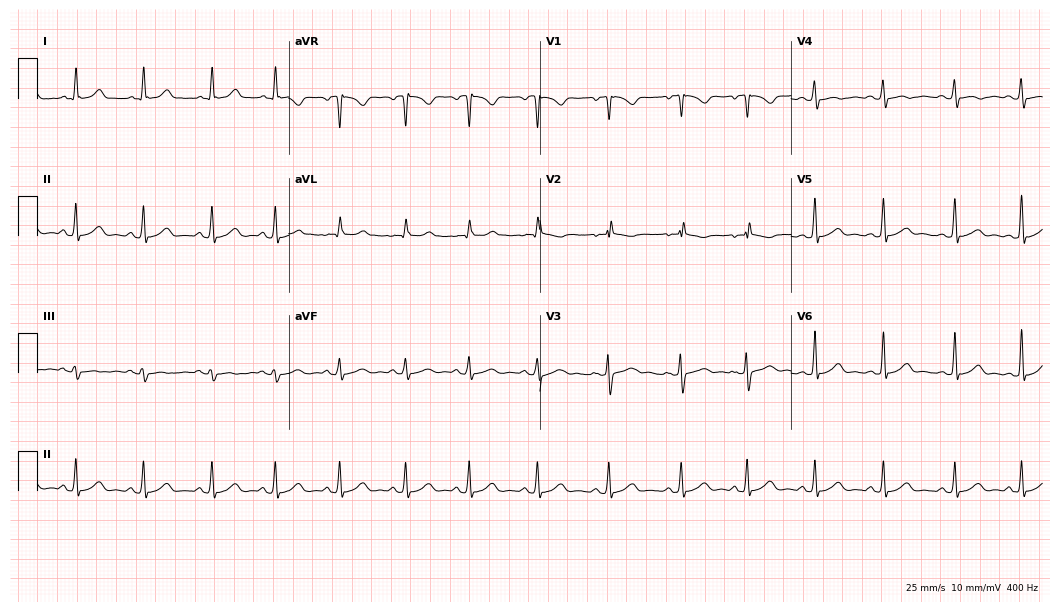
ECG (10.2-second recording at 400 Hz) — a 19-year-old female patient. Labelled as a normal ECG.